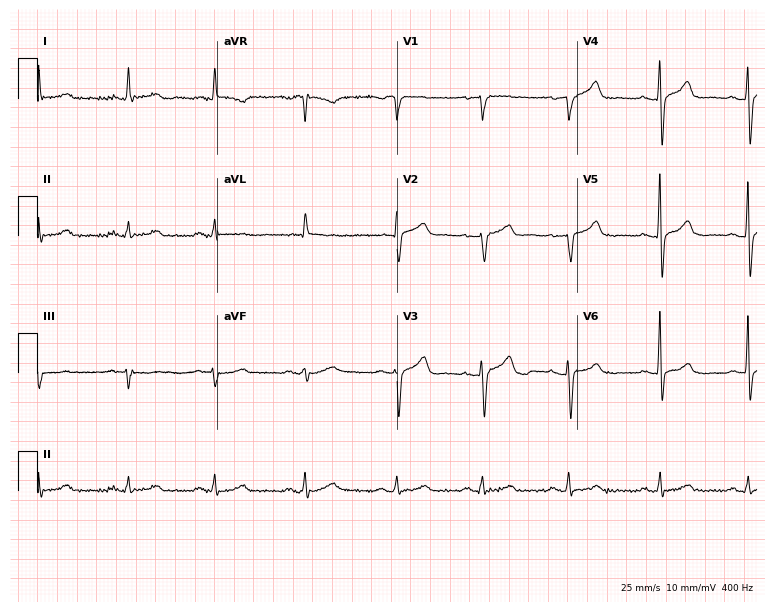
ECG — a 63-year-old woman. Screened for six findings — first-degree AV block, right bundle branch block, left bundle branch block, sinus bradycardia, atrial fibrillation, sinus tachycardia — none is recorded.